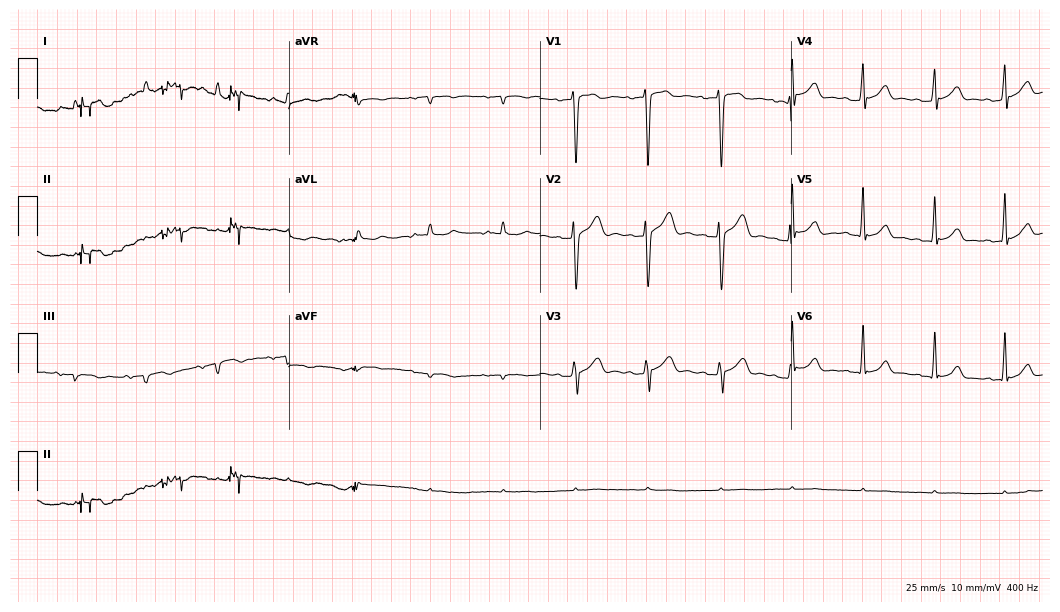
12-lead ECG from a man, 21 years old (10.2-second recording at 400 Hz). No first-degree AV block, right bundle branch block (RBBB), left bundle branch block (LBBB), sinus bradycardia, atrial fibrillation (AF) or sinus tachycardia recorded for this tracing.